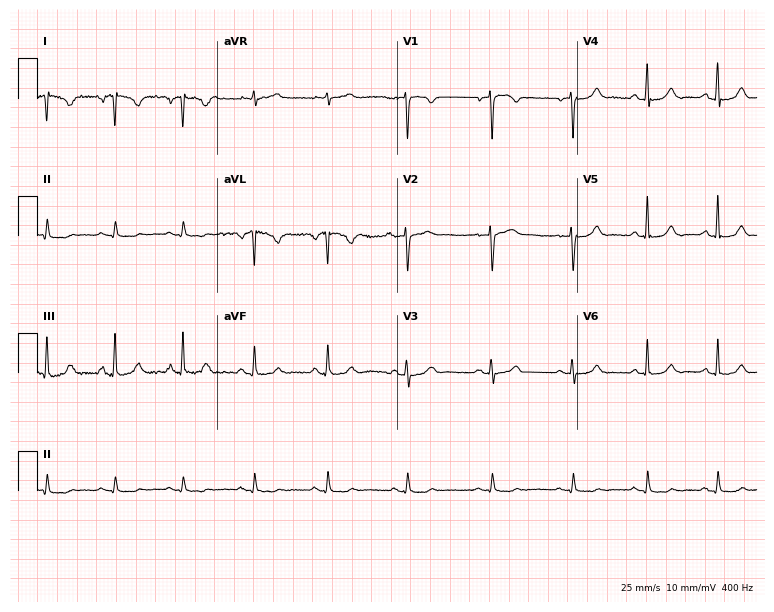
ECG — a 33-year-old female. Screened for six findings — first-degree AV block, right bundle branch block (RBBB), left bundle branch block (LBBB), sinus bradycardia, atrial fibrillation (AF), sinus tachycardia — none is recorded.